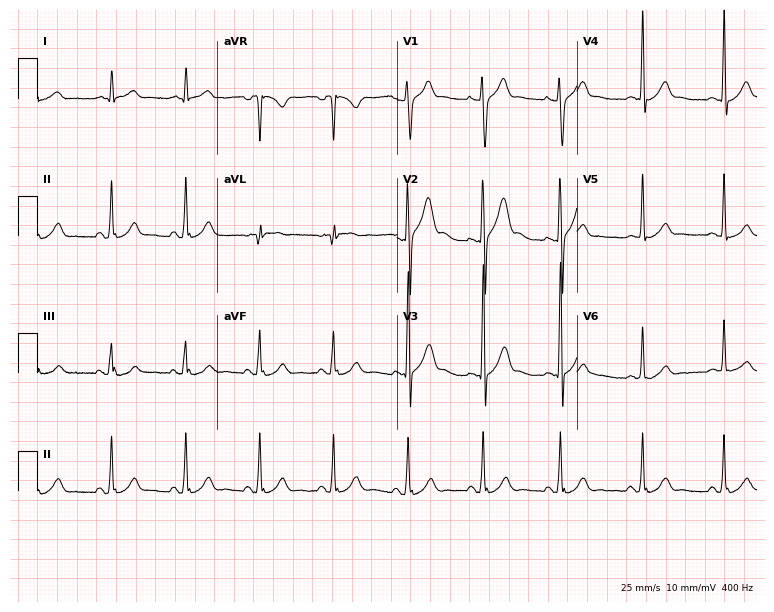
Resting 12-lead electrocardiogram (7.3-second recording at 400 Hz). Patient: a male, 38 years old. Read as a normal ECG.